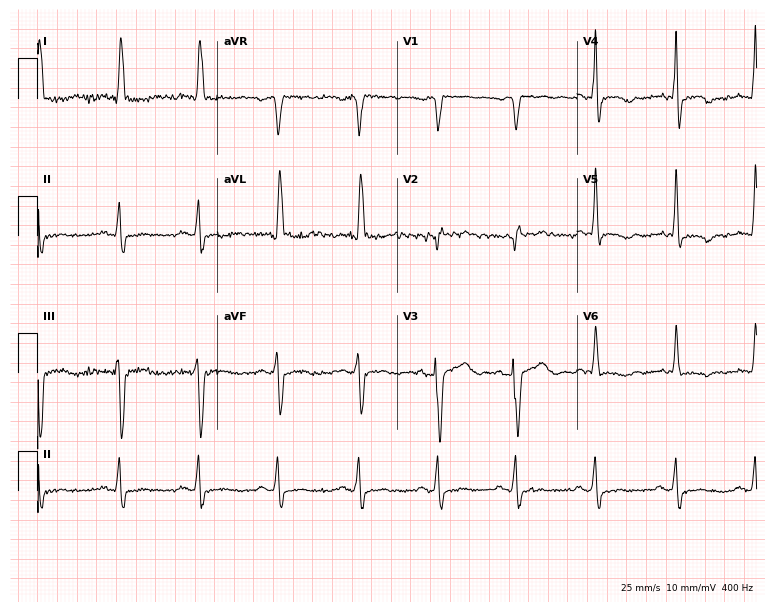
Standard 12-lead ECG recorded from a female, 48 years old (7.3-second recording at 400 Hz). None of these six findings is recorded: first-degree AV block, right bundle branch block, left bundle branch block, sinus bradycardia, atrial fibrillation, sinus tachycardia.